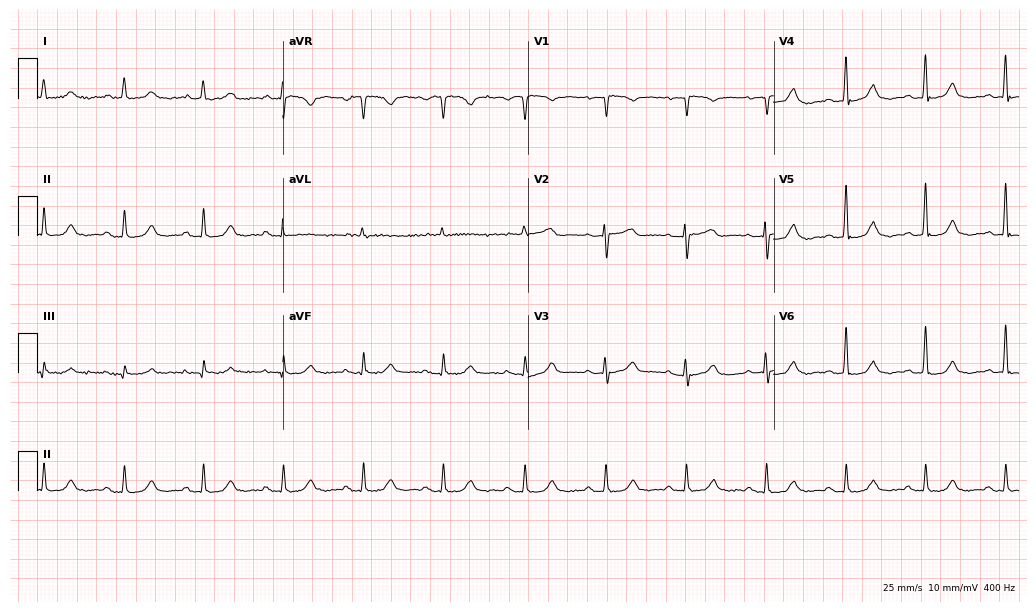
Resting 12-lead electrocardiogram (10-second recording at 400 Hz). Patient: a female, 87 years old. None of these six findings is recorded: first-degree AV block, right bundle branch block (RBBB), left bundle branch block (LBBB), sinus bradycardia, atrial fibrillation (AF), sinus tachycardia. Other findings, if any, are not listed.